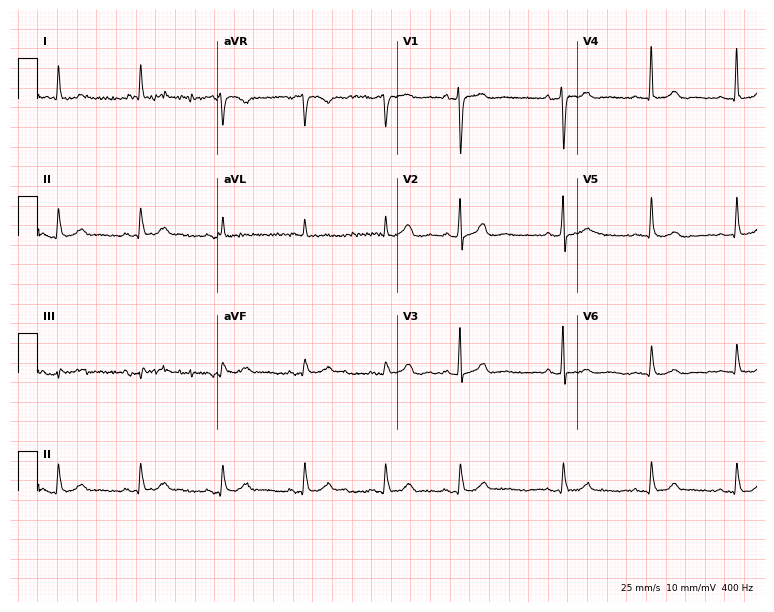
ECG — an 83-year-old male. Screened for six findings — first-degree AV block, right bundle branch block, left bundle branch block, sinus bradycardia, atrial fibrillation, sinus tachycardia — none is recorded.